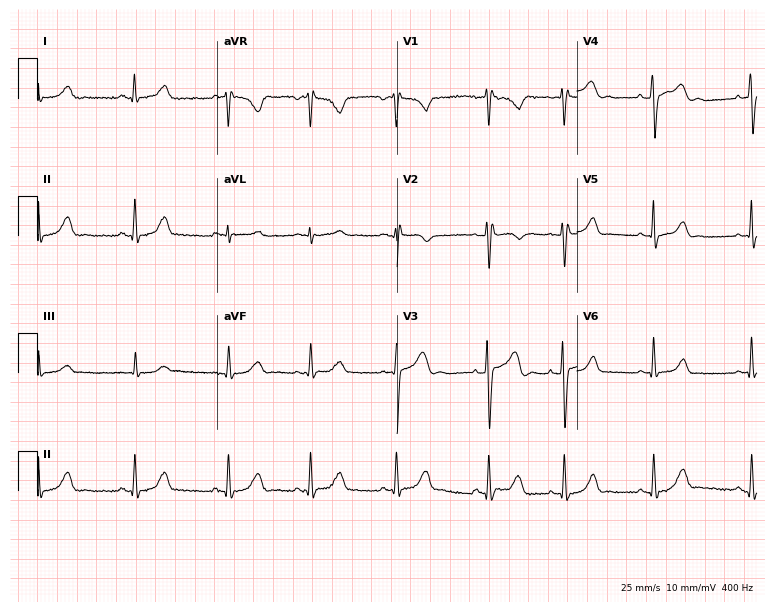
12-lead ECG from a 22-year-old female. Labelled as a normal ECG.